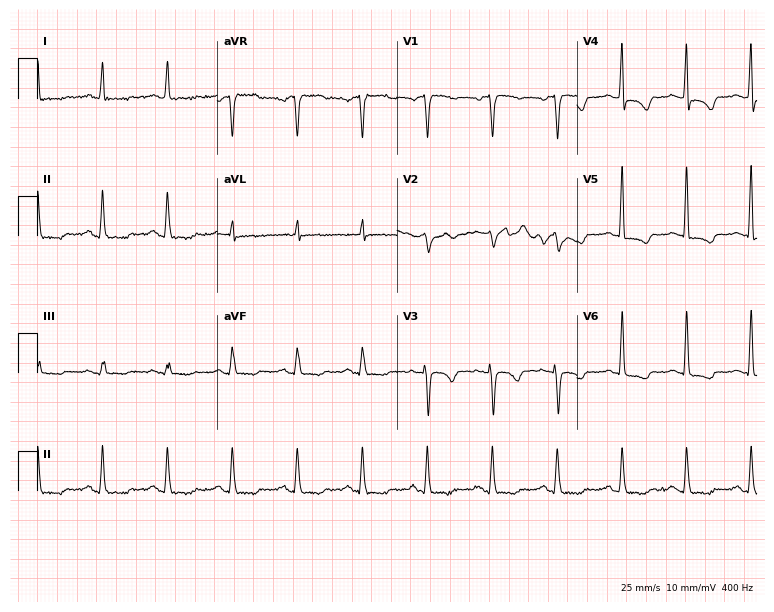
Electrocardiogram (7.3-second recording at 400 Hz), a 61-year-old woman. Of the six screened findings (first-degree AV block, right bundle branch block (RBBB), left bundle branch block (LBBB), sinus bradycardia, atrial fibrillation (AF), sinus tachycardia), none is recorded.